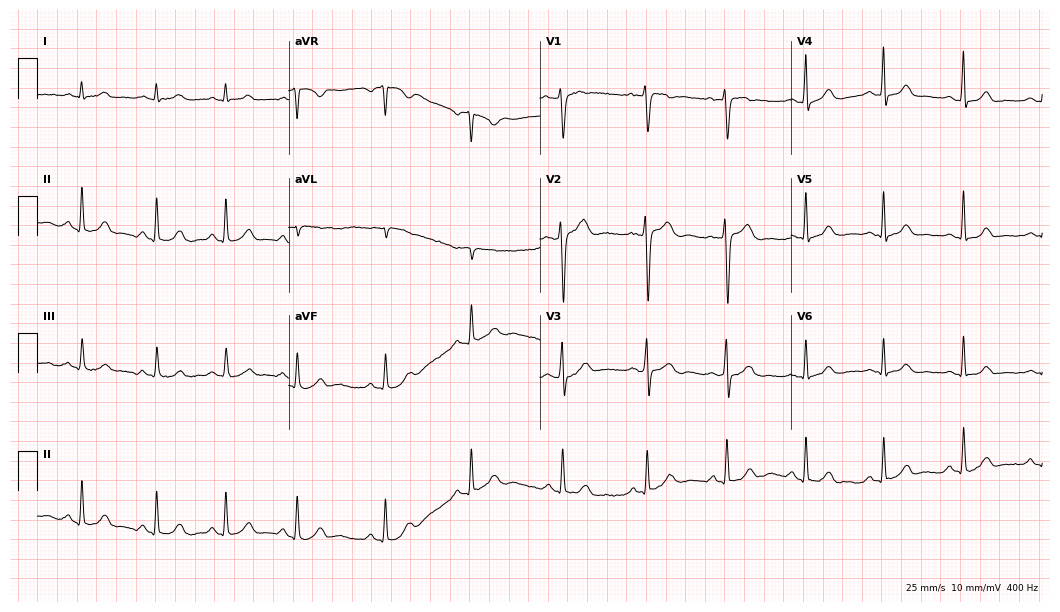
Resting 12-lead electrocardiogram (10.2-second recording at 400 Hz). Patient: a 24-year-old male. Read as a normal ECG.